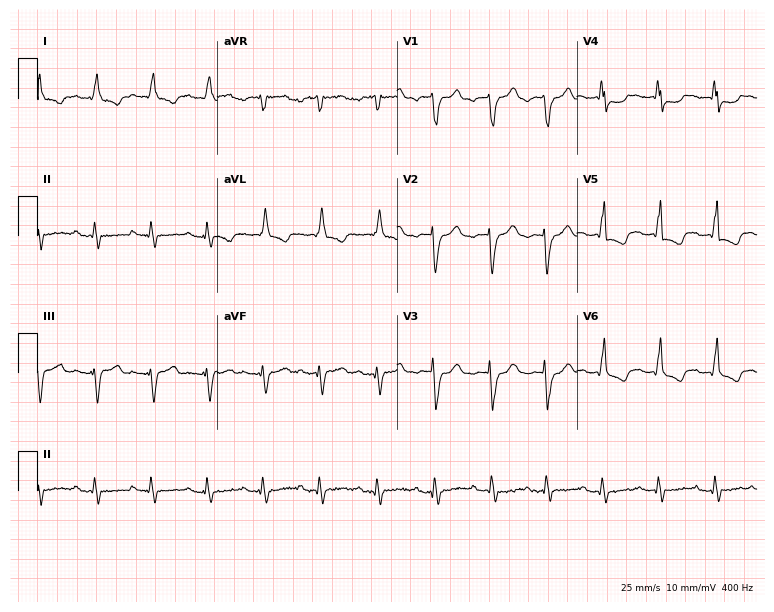
12-lead ECG from a male patient, 82 years old. Findings include sinus tachycardia (a sinus rate of 100 beats per minute or more).